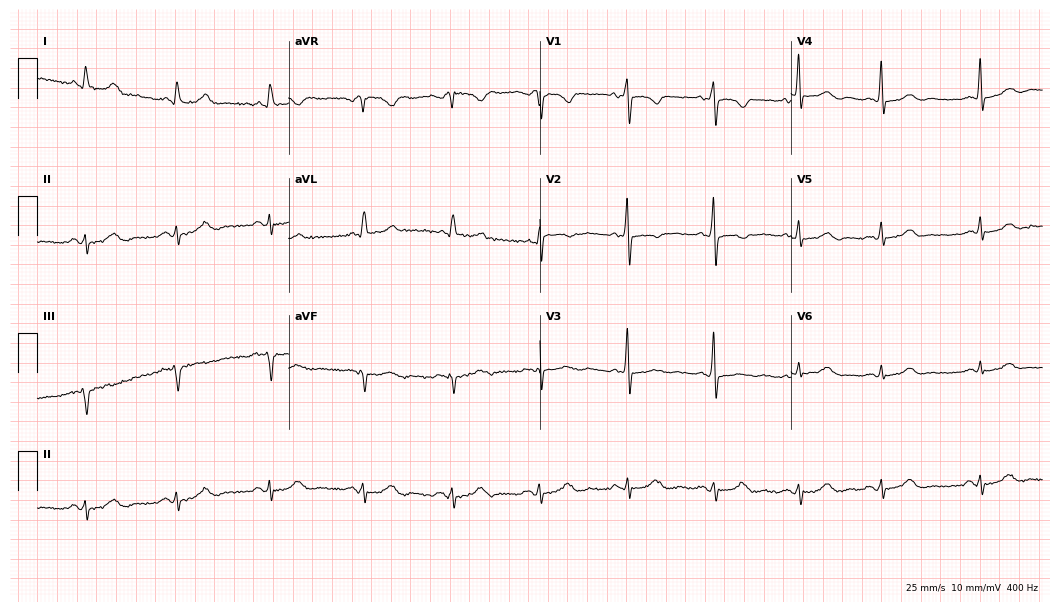
ECG (10.2-second recording at 400 Hz) — an 82-year-old woman. Screened for six findings — first-degree AV block, right bundle branch block, left bundle branch block, sinus bradycardia, atrial fibrillation, sinus tachycardia — none is recorded.